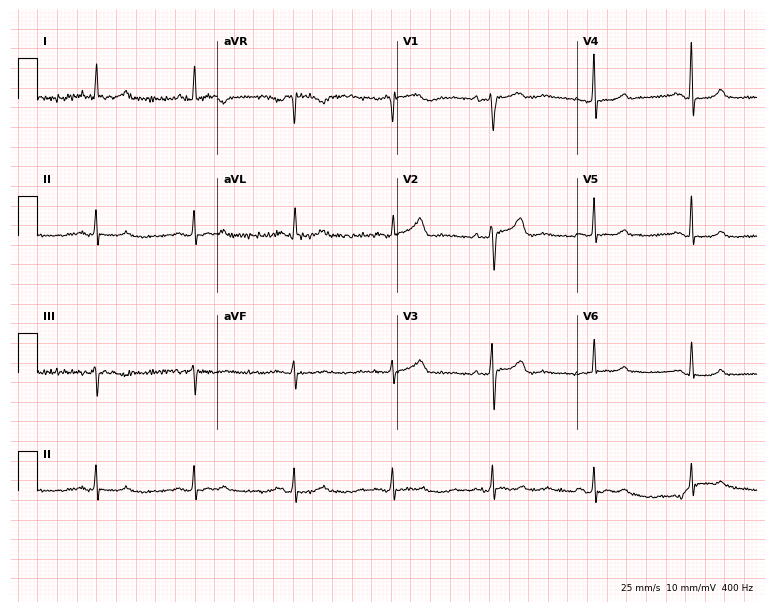
Standard 12-lead ECG recorded from a woman, 61 years old (7.3-second recording at 400 Hz). None of these six findings is recorded: first-degree AV block, right bundle branch block (RBBB), left bundle branch block (LBBB), sinus bradycardia, atrial fibrillation (AF), sinus tachycardia.